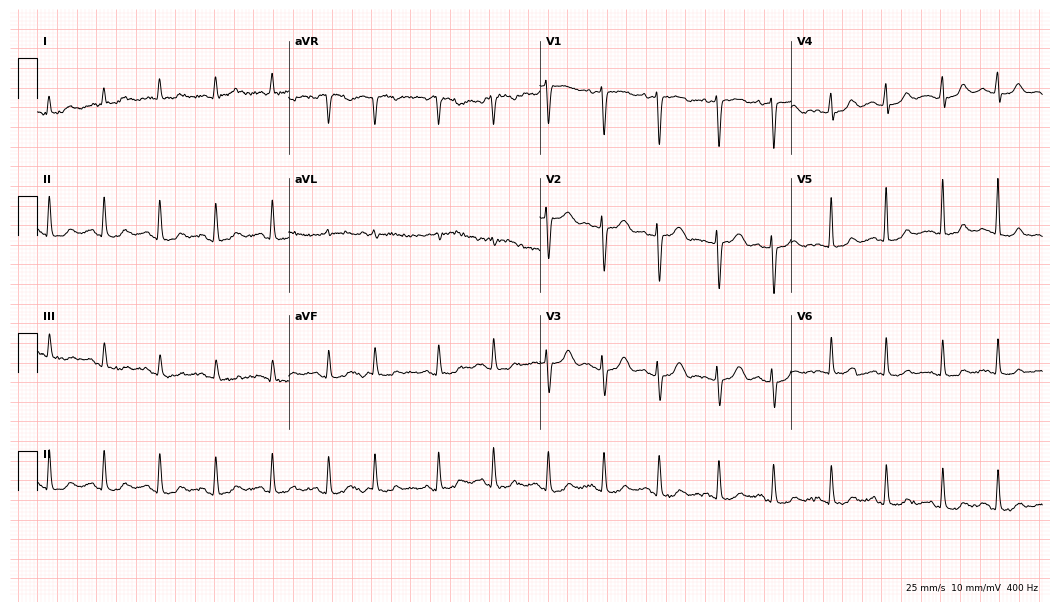
Electrocardiogram, an 84-year-old female patient. Interpretation includes sinus tachycardia (a sinus rate of 100 beats per minute or more).